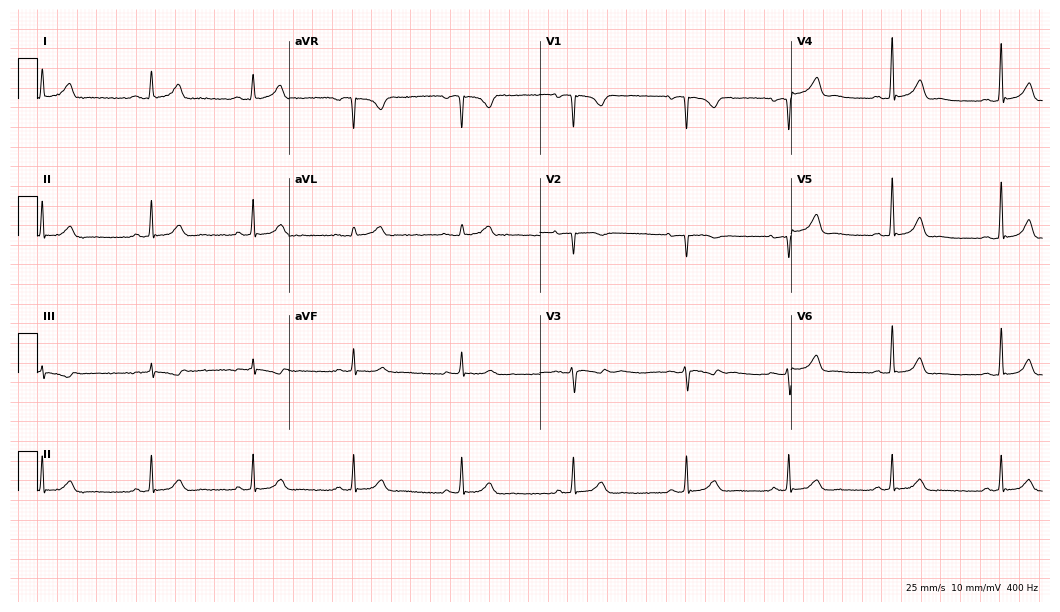
Resting 12-lead electrocardiogram (10.2-second recording at 400 Hz). Patient: a 23-year-old female. Read as a normal ECG.